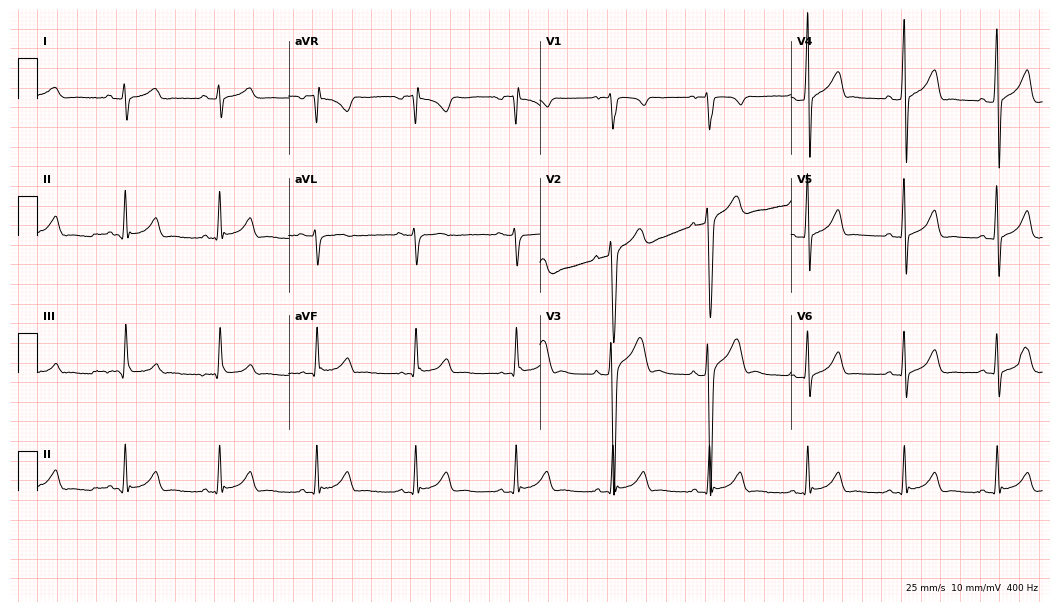
ECG — an 18-year-old male patient. Screened for six findings — first-degree AV block, right bundle branch block, left bundle branch block, sinus bradycardia, atrial fibrillation, sinus tachycardia — none is recorded.